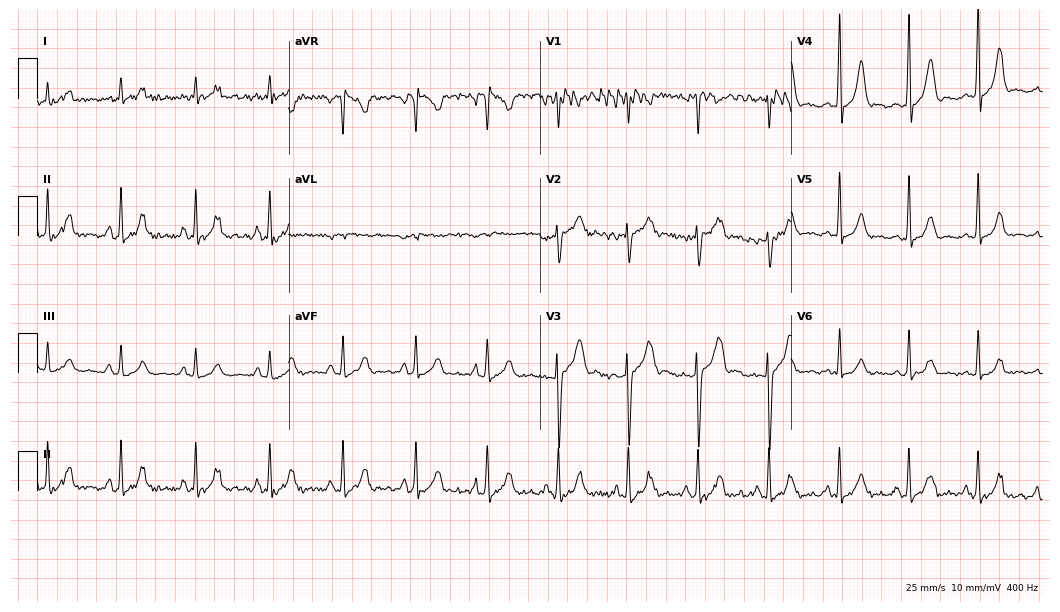
Electrocardiogram (10.2-second recording at 400 Hz), a 29-year-old female patient. Of the six screened findings (first-degree AV block, right bundle branch block, left bundle branch block, sinus bradycardia, atrial fibrillation, sinus tachycardia), none is recorded. Findings outside these six are not listed.